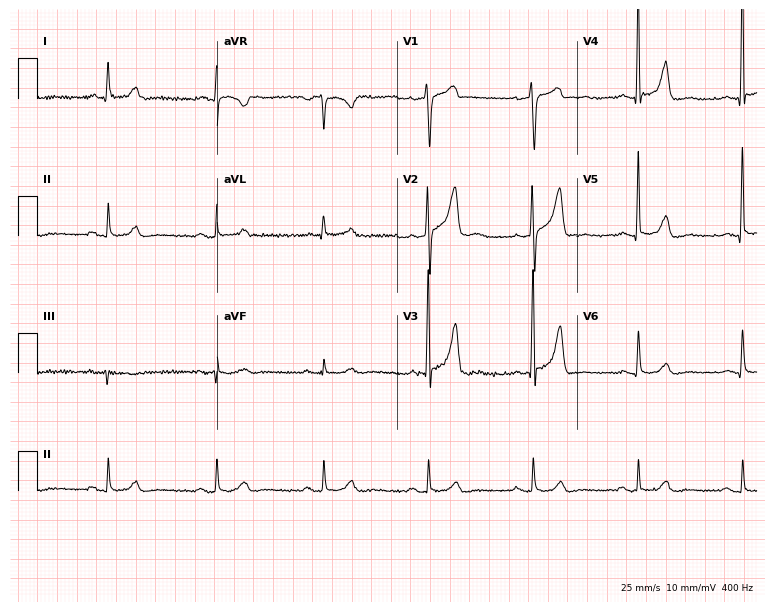
Resting 12-lead electrocardiogram. Patient: a man, 81 years old. None of these six findings is recorded: first-degree AV block, right bundle branch block, left bundle branch block, sinus bradycardia, atrial fibrillation, sinus tachycardia. Only these six findings were labelled.